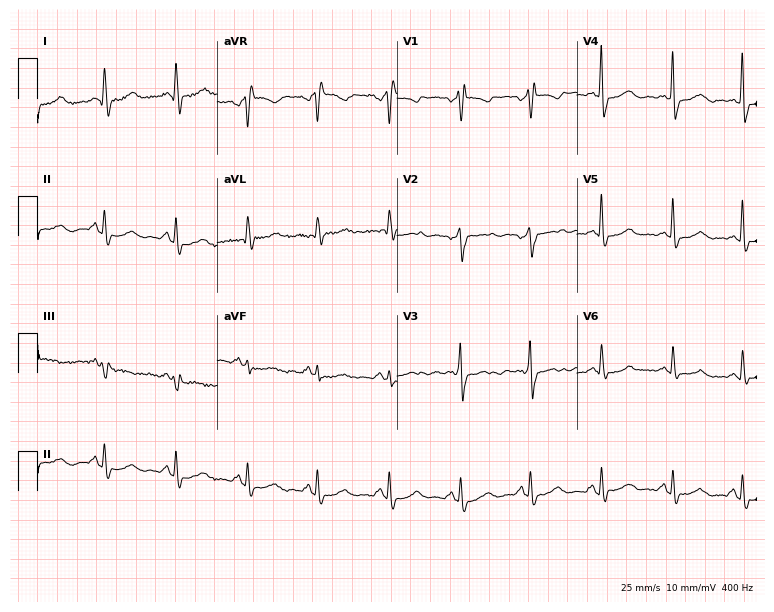
Standard 12-lead ECG recorded from a 71-year-old female (7.3-second recording at 400 Hz). None of these six findings is recorded: first-degree AV block, right bundle branch block, left bundle branch block, sinus bradycardia, atrial fibrillation, sinus tachycardia.